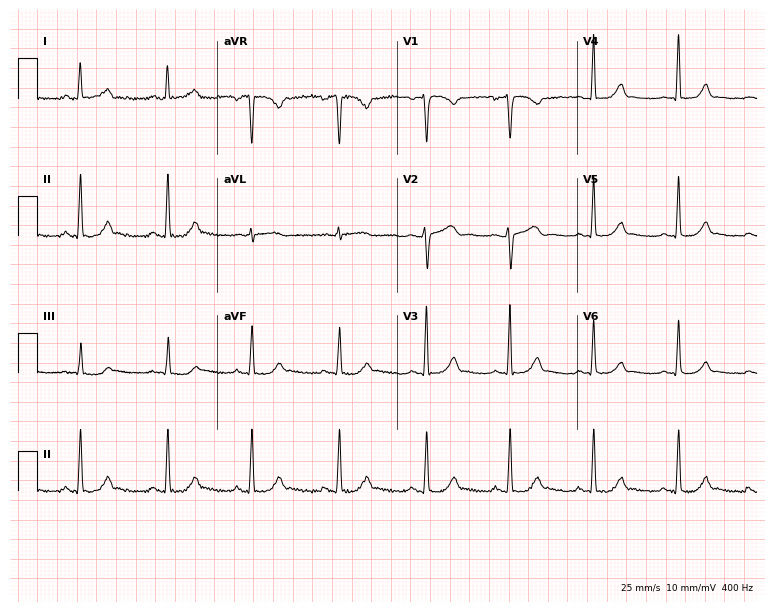
Electrocardiogram, a 39-year-old female. Of the six screened findings (first-degree AV block, right bundle branch block (RBBB), left bundle branch block (LBBB), sinus bradycardia, atrial fibrillation (AF), sinus tachycardia), none is recorded. Findings outside these six are not listed.